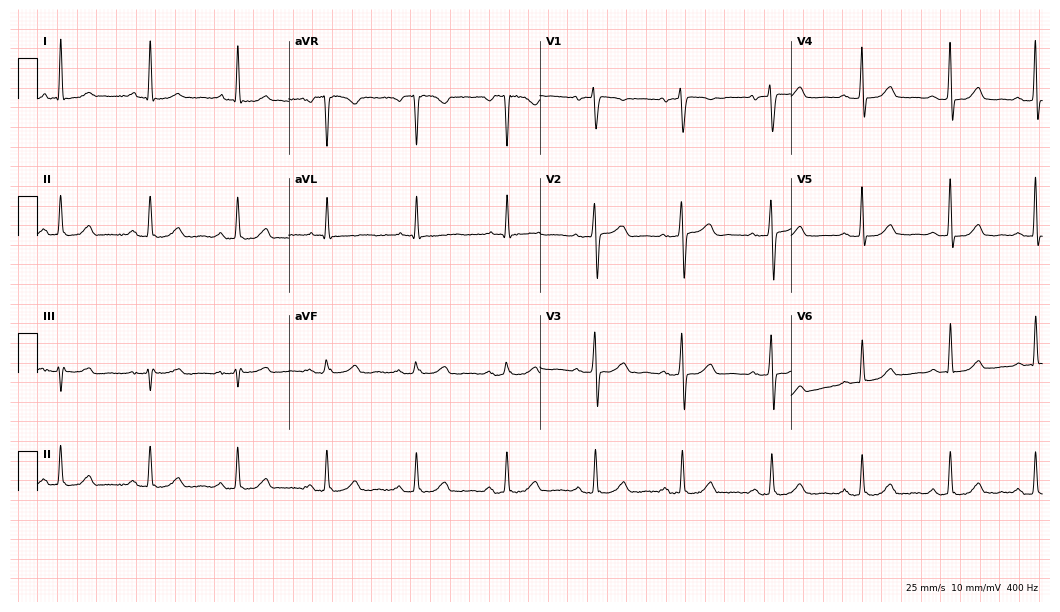
12-lead ECG from a female, 67 years old. No first-degree AV block, right bundle branch block, left bundle branch block, sinus bradycardia, atrial fibrillation or sinus tachycardia recorded for this tracing.